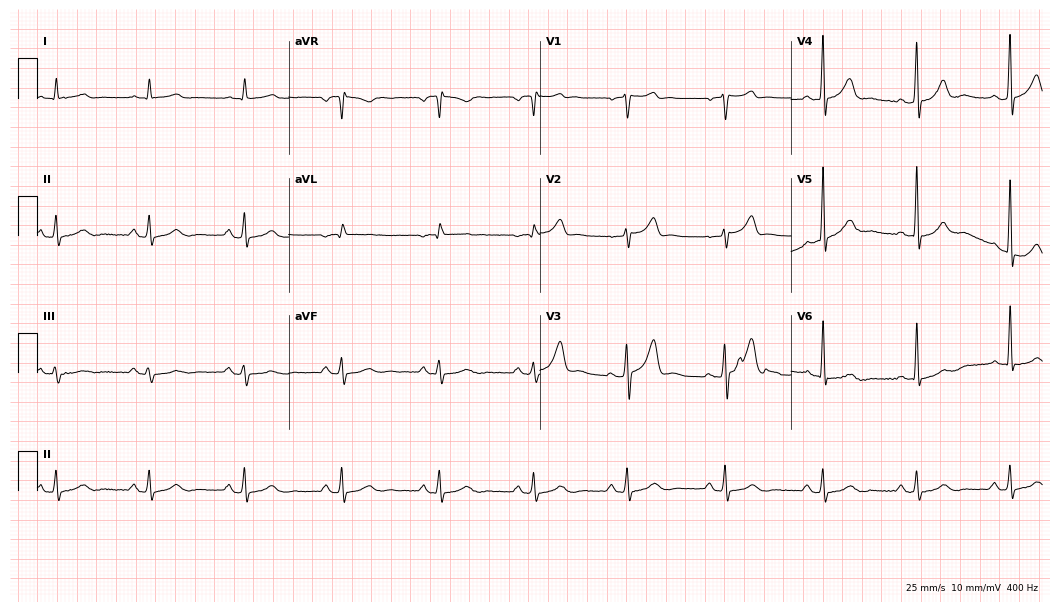
Electrocardiogram, a 53-year-old male patient. Overall reading on record: normal ECG.